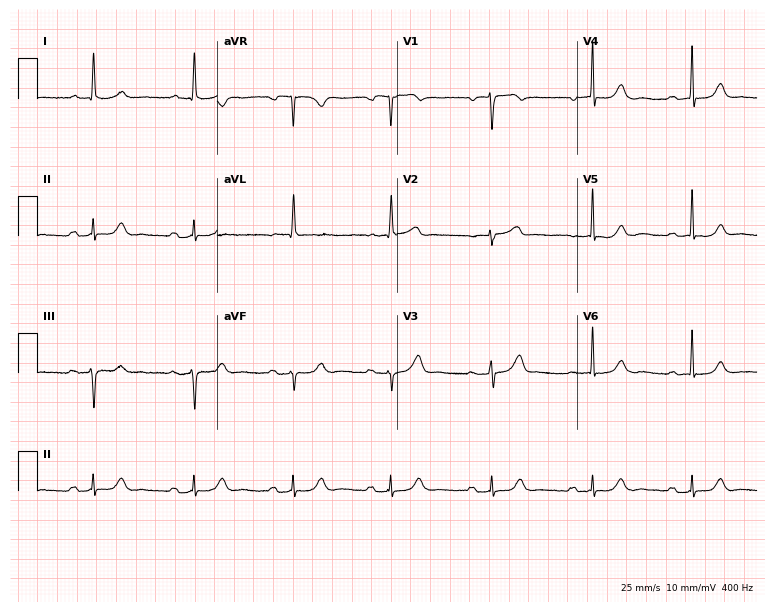
Resting 12-lead electrocardiogram. Patient: a female, 86 years old. Read as a normal ECG.